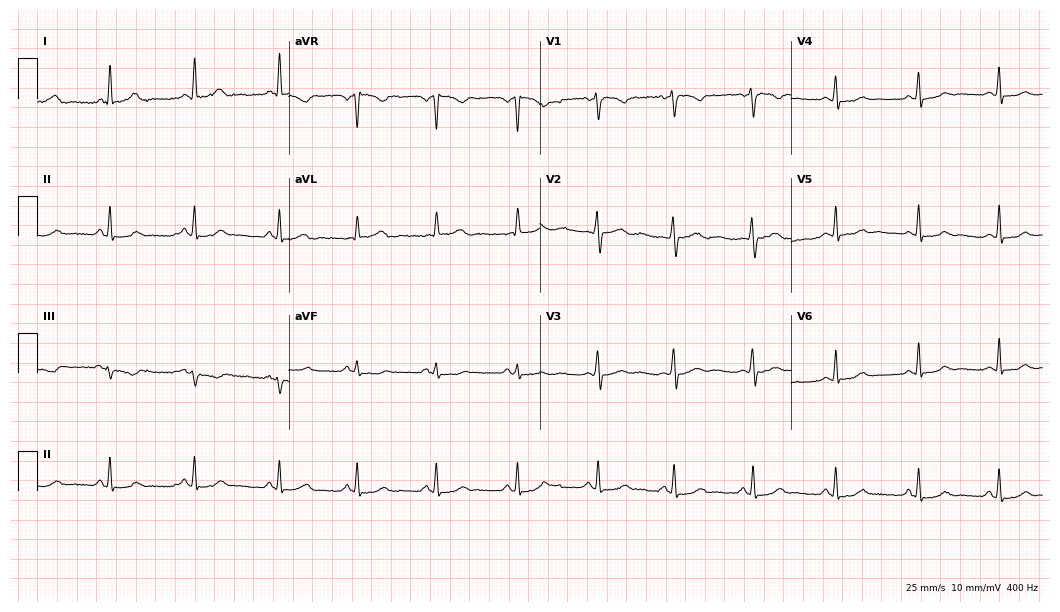
12-lead ECG from a 44-year-old female patient. Screened for six findings — first-degree AV block, right bundle branch block, left bundle branch block, sinus bradycardia, atrial fibrillation, sinus tachycardia — none is recorded. Other findings, if any, are not listed.